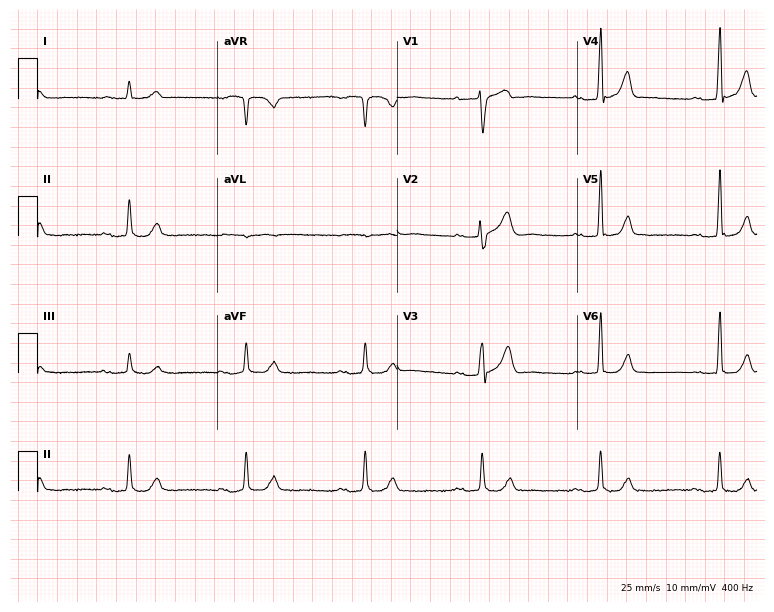
ECG (7.3-second recording at 400 Hz) — a male patient, 79 years old. Findings include first-degree AV block, right bundle branch block (RBBB).